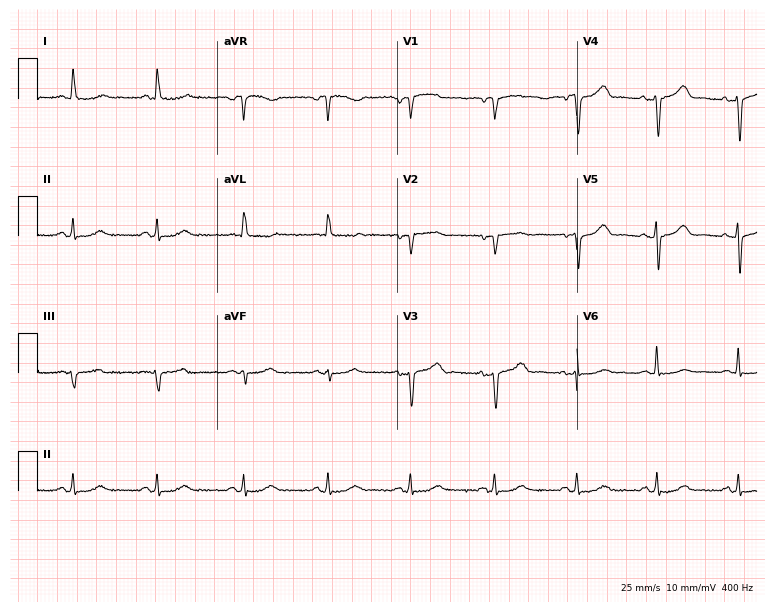
Resting 12-lead electrocardiogram (7.3-second recording at 400 Hz). Patient: a female, 60 years old. None of these six findings is recorded: first-degree AV block, right bundle branch block (RBBB), left bundle branch block (LBBB), sinus bradycardia, atrial fibrillation (AF), sinus tachycardia. Other findings, if any, are not listed.